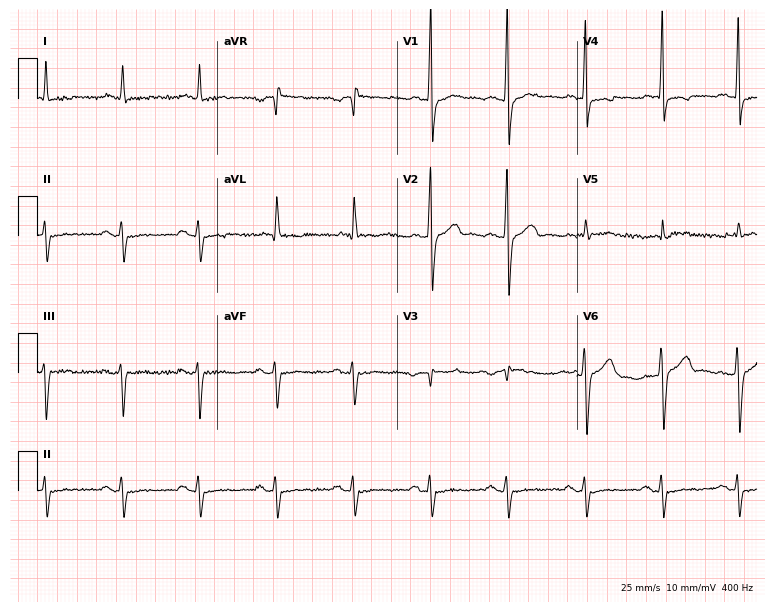
Standard 12-lead ECG recorded from a 63-year-old man (7.3-second recording at 400 Hz). None of these six findings is recorded: first-degree AV block, right bundle branch block, left bundle branch block, sinus bradycardia, atrial fibrillation, sinus tachycardia.